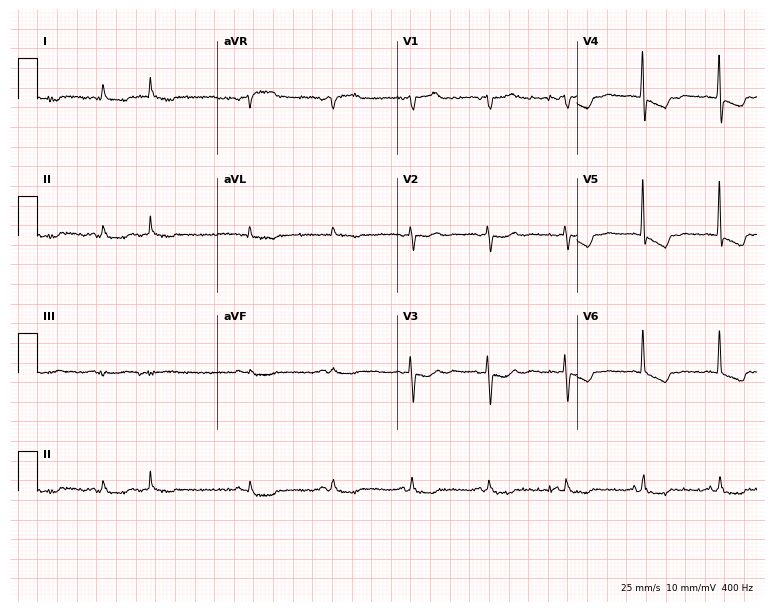
ECG — a 75-year-old male. Findings include atrial fibrillation.